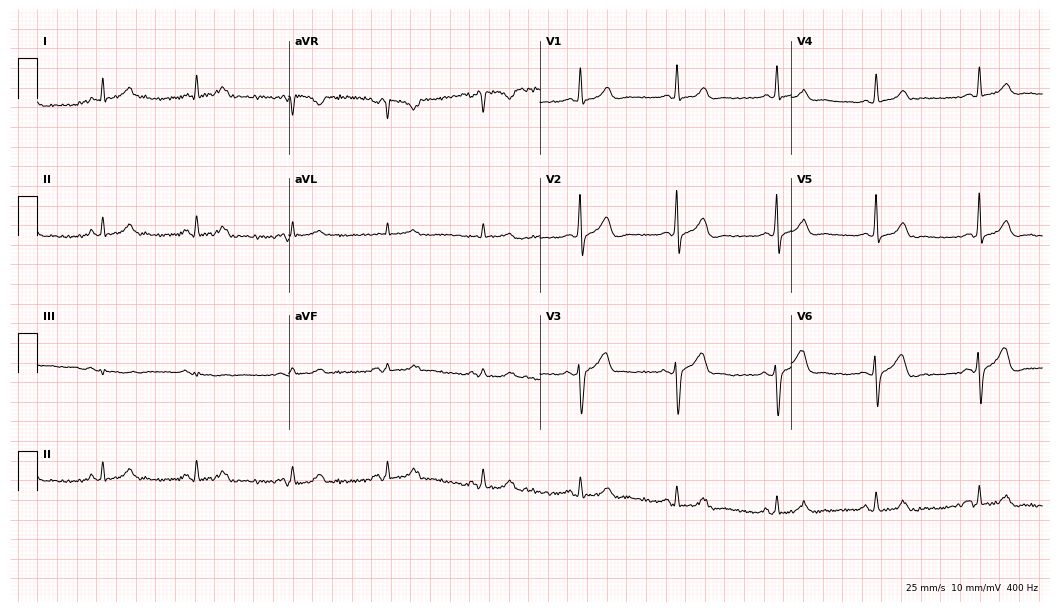
Resting 12-lead electrocardiogram (10.2-second recording at 400 Hz). Patient: a female, 74 years old. None of these six findings is recorded: first-degree AV block, right bundle branch block, left bundle branch block, sinus bradycardia, atrial fibrillation, sinus tachycardia.